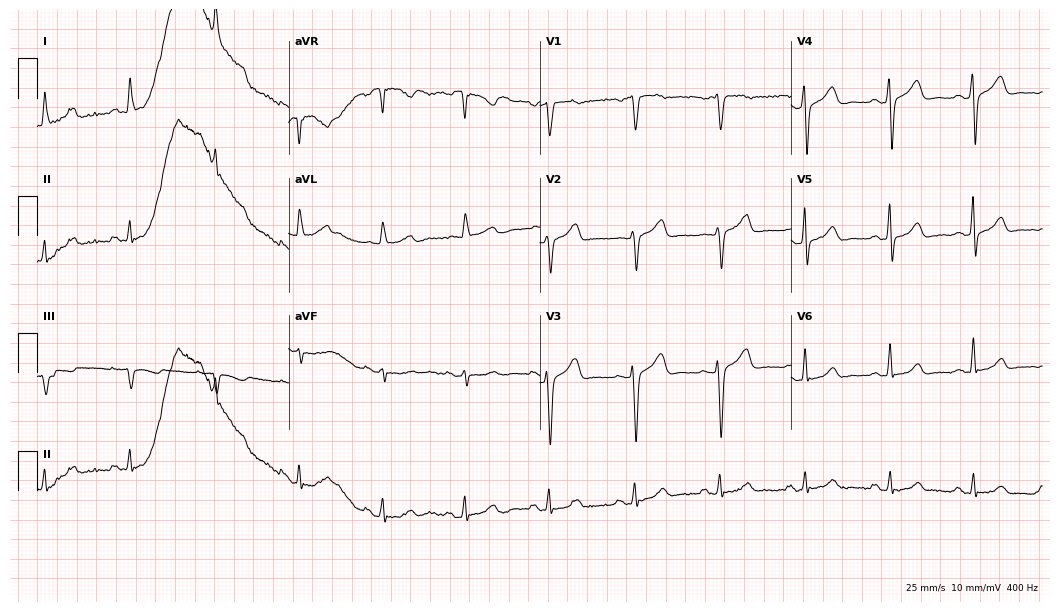
12-lead ECG from a female, 67 years old. Labelled as a normal ECG.